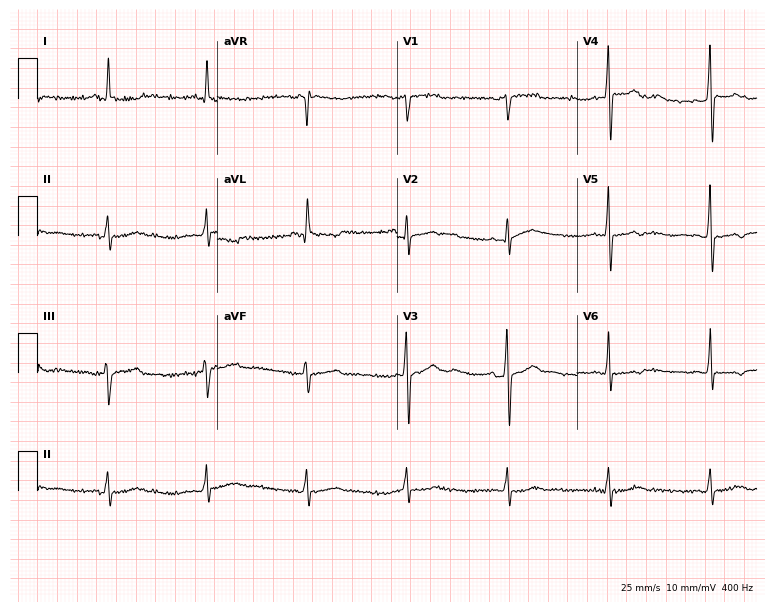
Standard 12-lead ECG recorded from a 62-year-old male patient. None of these six findings is recorded: first-degree AV block, right bundle branch block, left bundle branch block, sinus bradycardia, atrial fibrillation, sinus tachycardia.